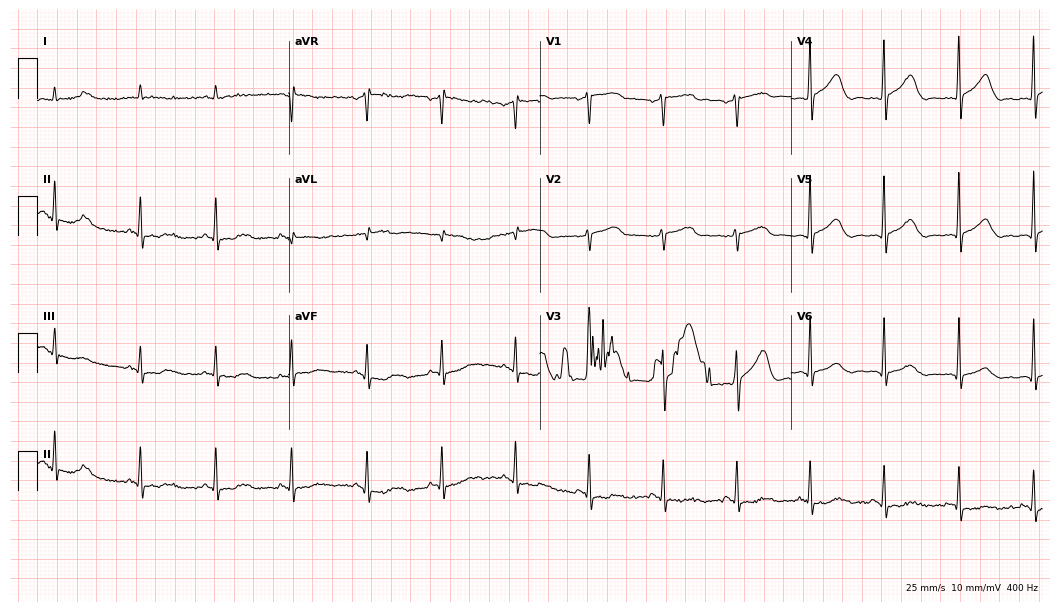
Electrocardiogram, an 81-year-old male patient. Of the six screened findings (first-degree AV block, right bundle branch block, left bundle branch block, sinus bradycardia, atrial fibrillation, sinus tachycardia), none is recorded. Only these six findings were labelled.